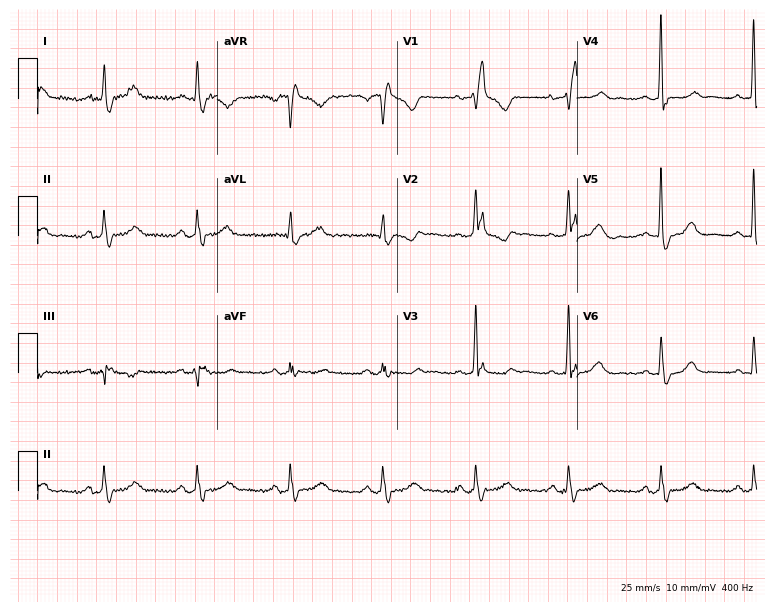
Resting 12-lead electrocardiogram (7.3-second recording at 400 Hz). Patient: a 49-year-old female. The tracing shows right bundle branch block (RBBB).